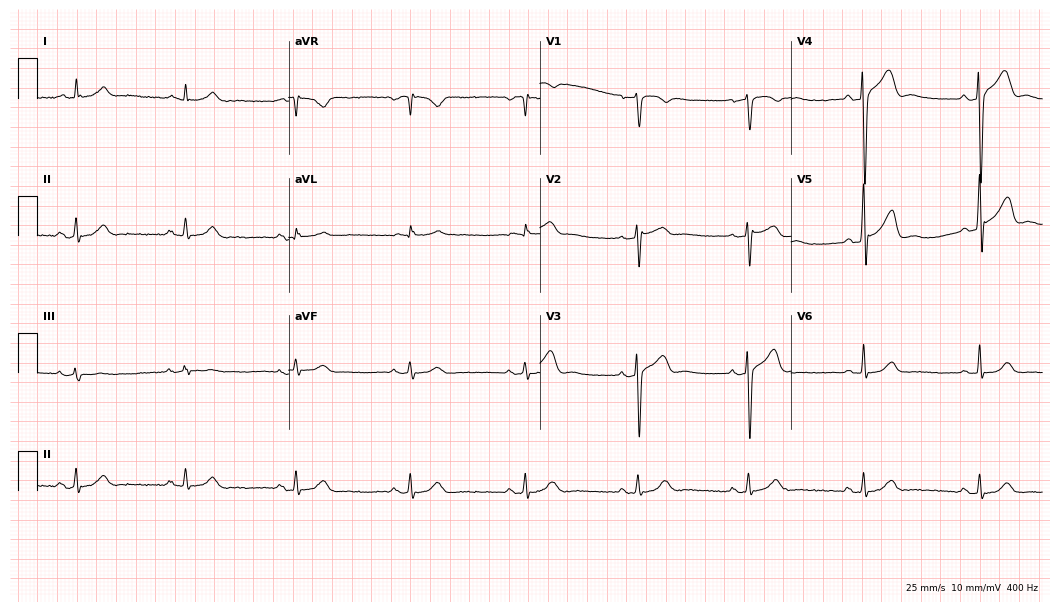
12-lead ECG from a 61-year-old female patient. No first-degree AV block, right bundle branch block, left bundle branch block, sinus bradycardia, atrial fibrillation or sinus tachycardia recorded for this tracing.